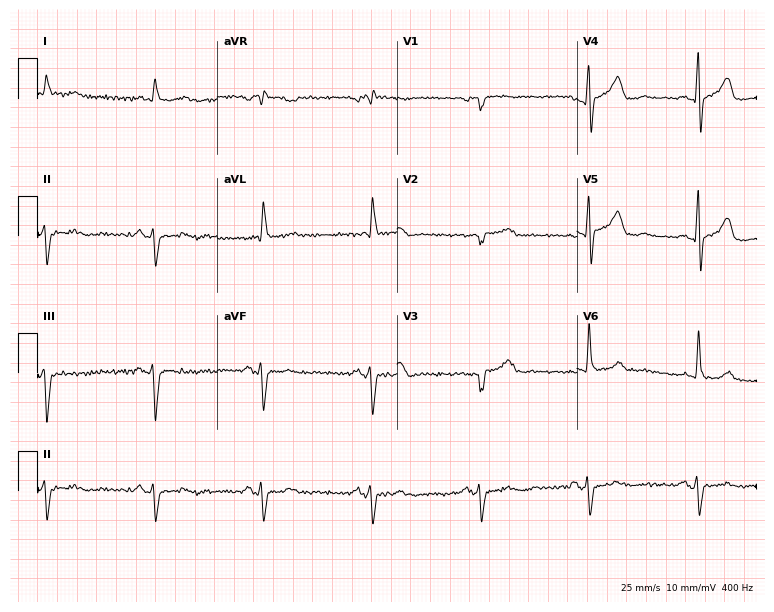
12-lead ECG from a male, 85 years old. No first-degree AV block, right bundle branch block, left bundle branch block, sinus bradycardia, atrial fibrillation or sinus tachycardia recorded for this tracing. Findings outside these six are not listed.